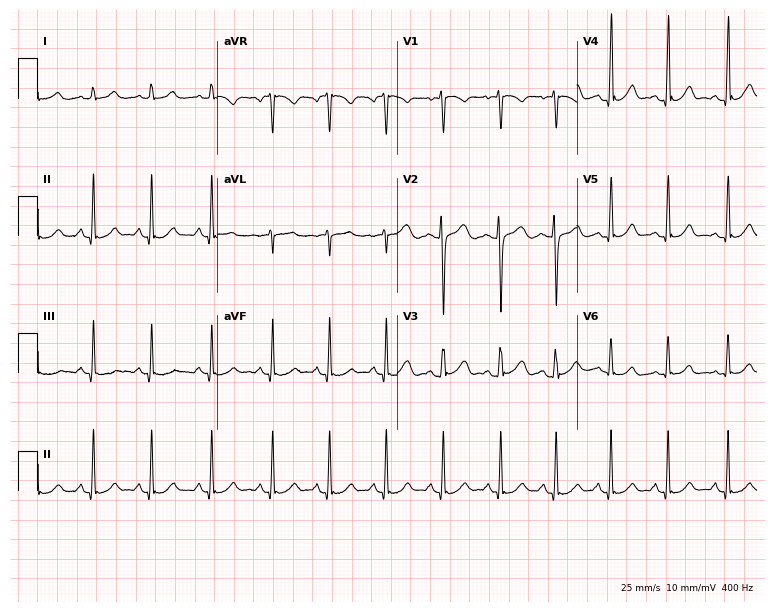
12-lead ECG from a female, 20 years old. Labelled as a normal ECG.